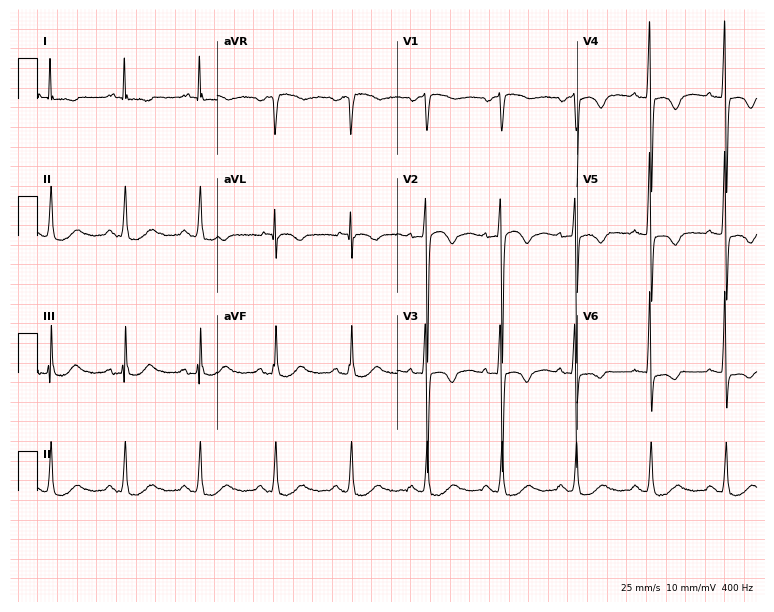
ECG — a 59-year-old woman. Screened for six findings — first-degree AV block, right bundle branch block, left bundle branch block, sinus bradycardia, atrial fibrillation, sinus tachycardia — none is recorded.